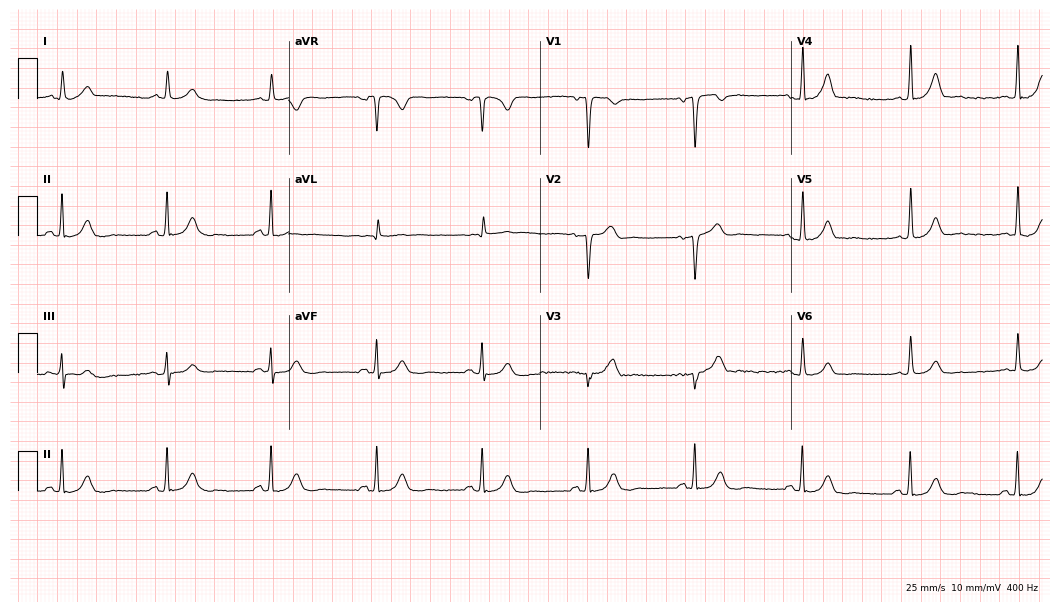
Resting 12-lead electrocardiogram (10.2-second recording at 400 Hz). Patient: a 77-year-old male. Read as a normal ECG.